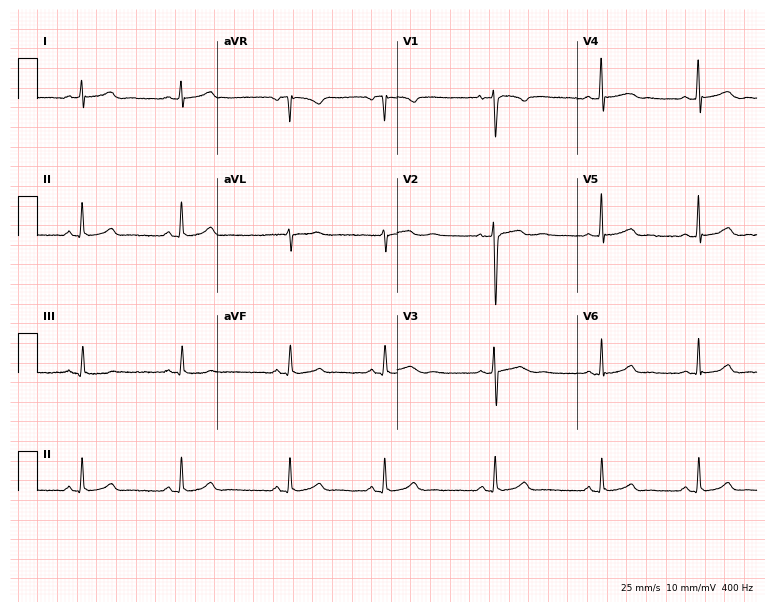
12-lead ECG from a female patient, 25 years old. Screened for six findings — first-degree AV block, right bundle branch block (RBBB), left bundle branch block (LBBB), sinus bradycardia, atrial fibrillation (AF), sinus tachycardia — none is recorded.